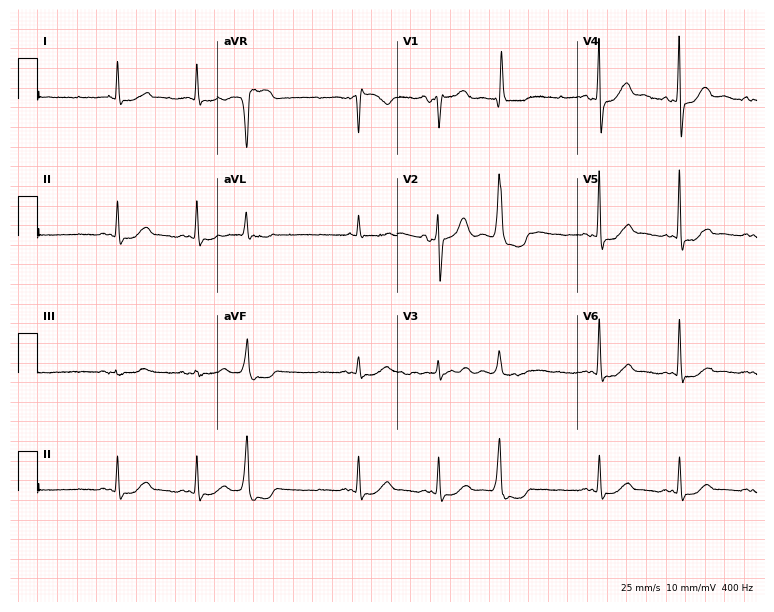
Electrocardiogram (7.3-second recording at 400 Hz), a male, 79 years old. Of the six screened findings (first-degree AV block, right bundle branch block, left bundle branch block, sinus bradycardia, atrial fibrillation, sinus tachycardia), none is recorded. Only these six findings were labelled.